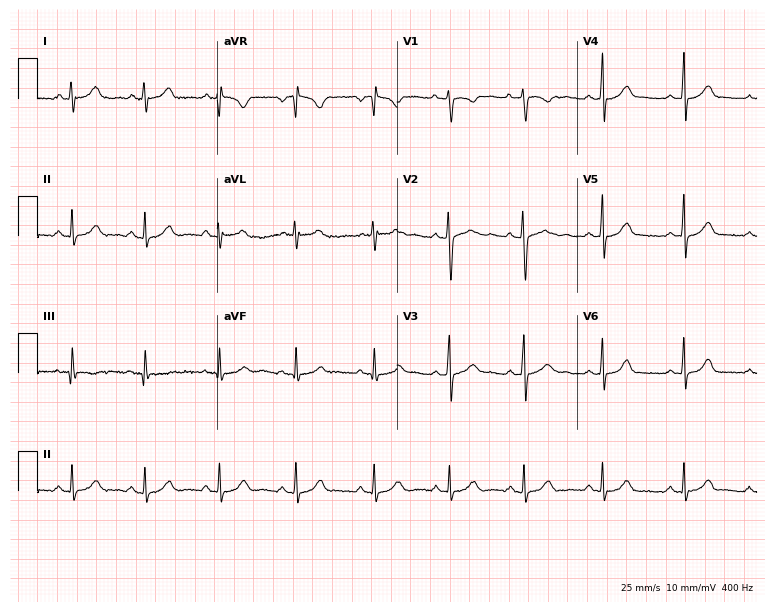
ECG (7.3-second recording at 400 Hz) — a 24-year-old woman. Labelled as a normal ECG.